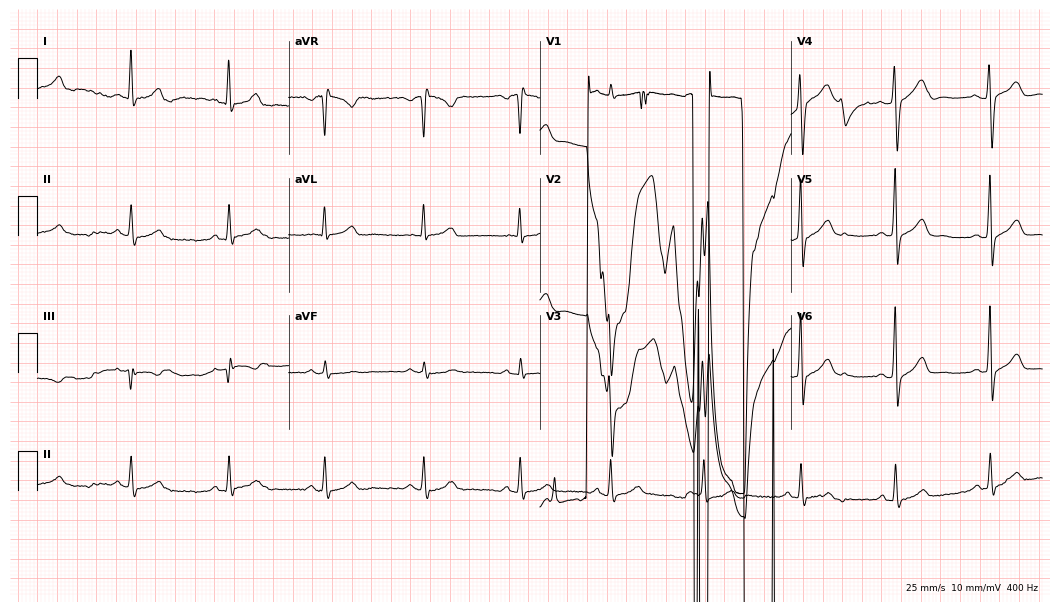
12-lead ECG (10.2-second recording at 400 Hz) from a 52-year-old male patient. Screened for six findings — first-degree AV block, right bundle branch block, left bundle branch block, sinus bradycardia, atrial fibrillation, sinus tachycardia — none is recorded.